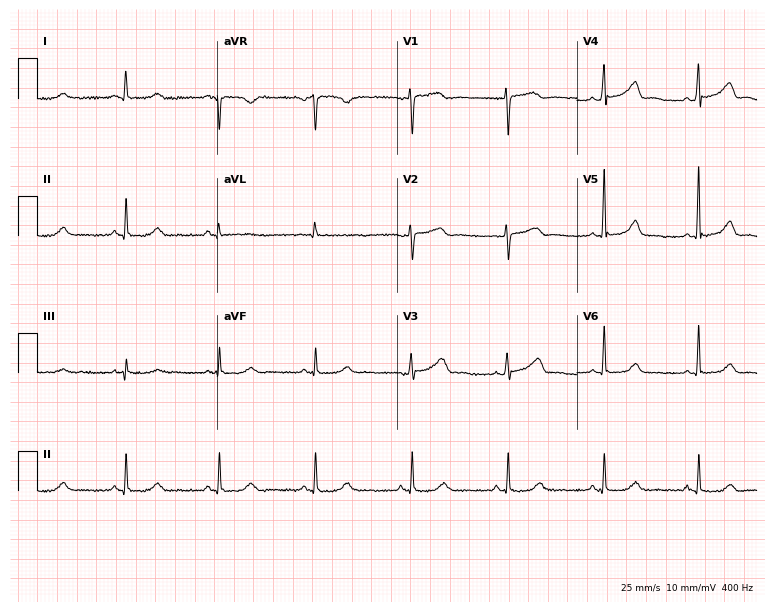
Standard 12-lead ECG recorded from a 49-year-old woman. Read as a normal ECG.